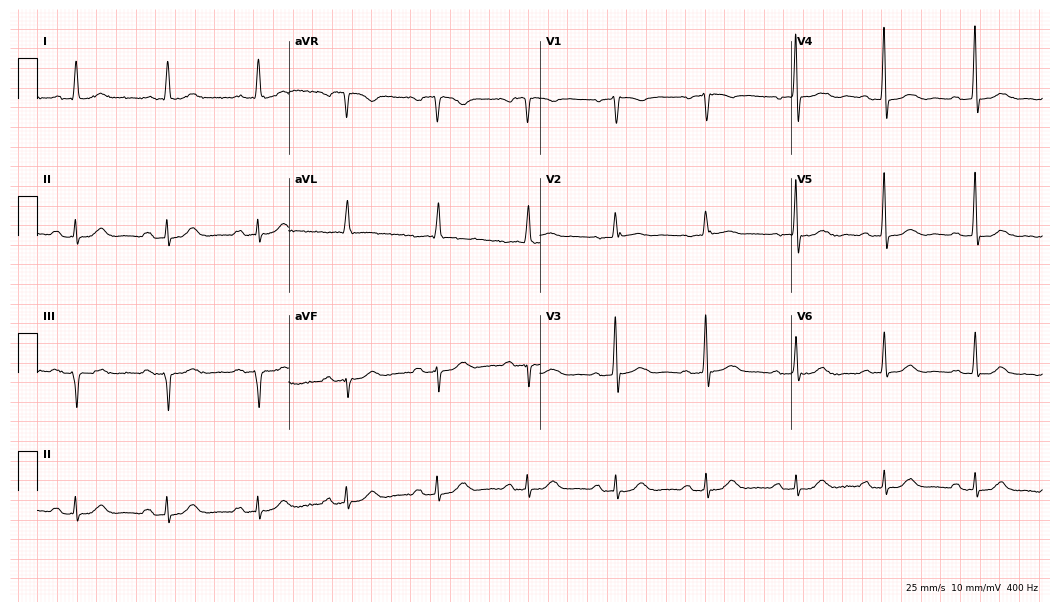
ECG (10.2-second recording at 400 Hz) — a 74-year-old man. Labelled as a normal ECG.